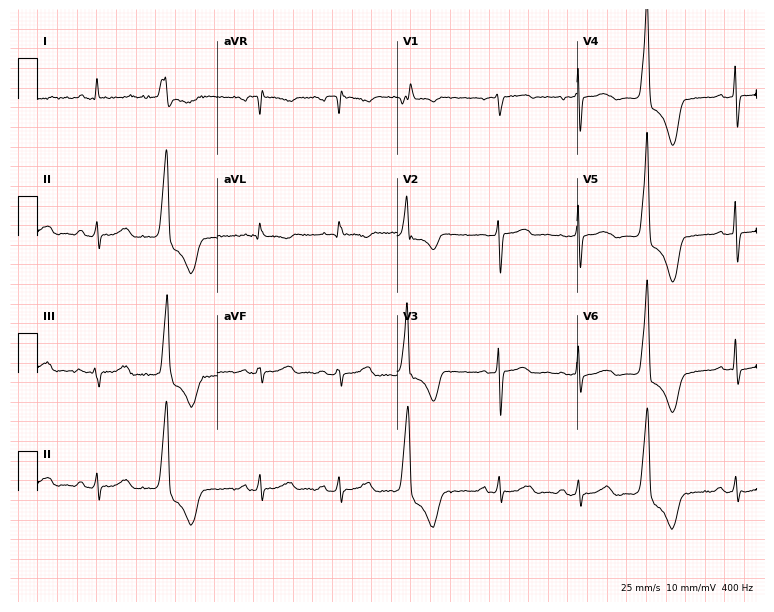
Electrocardiogram, a 73-year-old female. Of the six screened findings (first-degree AV block, right bundle branch block, left bundle branch block, sinus bradycardia, atrial fibrillation, sinus tachycardia), none is recorded.